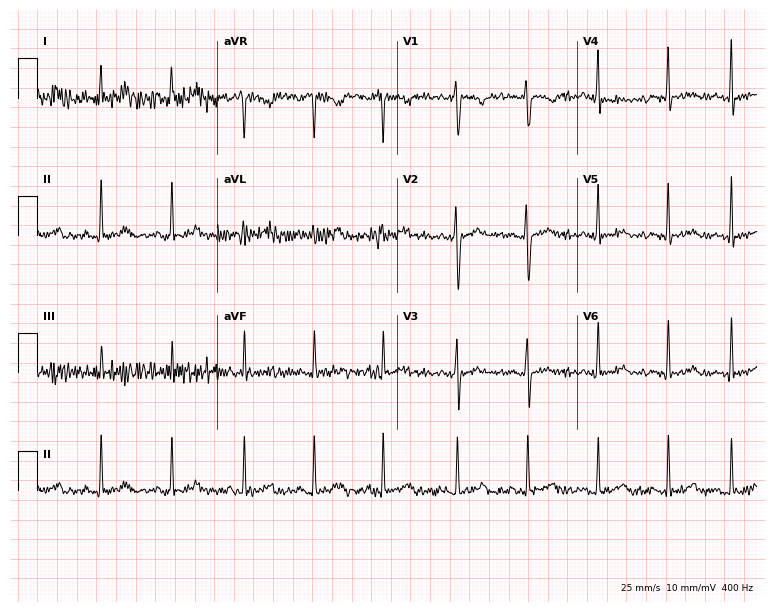
Standard 12-lead ECG recorded from a female, 18 years old (7.3-second recording at 400 Hz). None of these six findings is recorded: first-degree AV block, right bundle branch block (RBBB), left bundle branch block (LBBB), sinus bradycardia, atrial fibrillation (AF), sinus tachycardia.